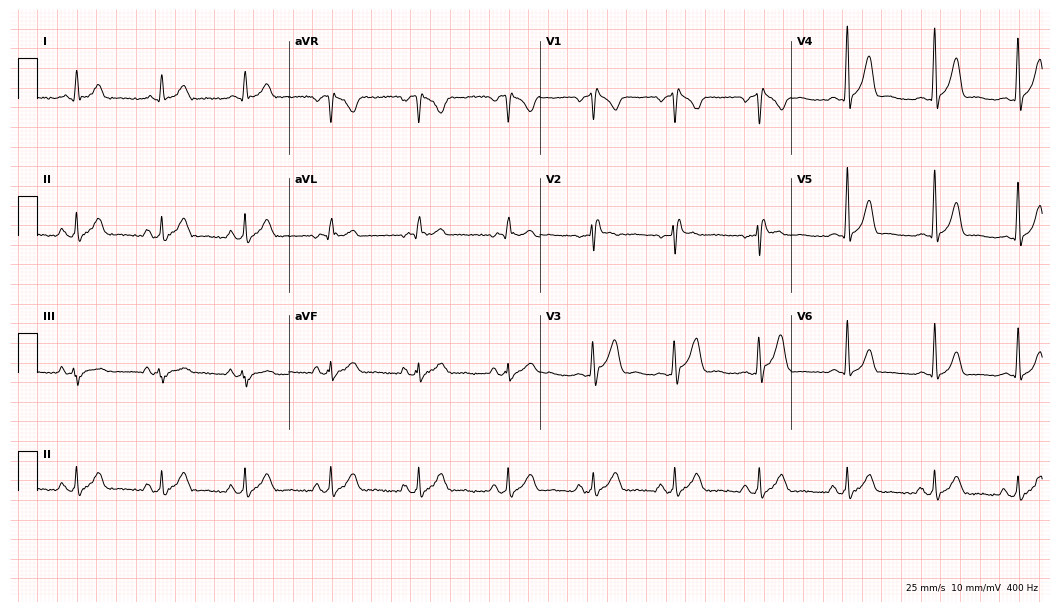
Standard 12-lead ECG recorded from a man, 35 years old. None of these six findings is recorded: first-degree AV block, right bundle branch block, left bundle branch block, sinus bradycardia, atrial fibrillation, sinus tachycardia. Only these six findings were labelled.